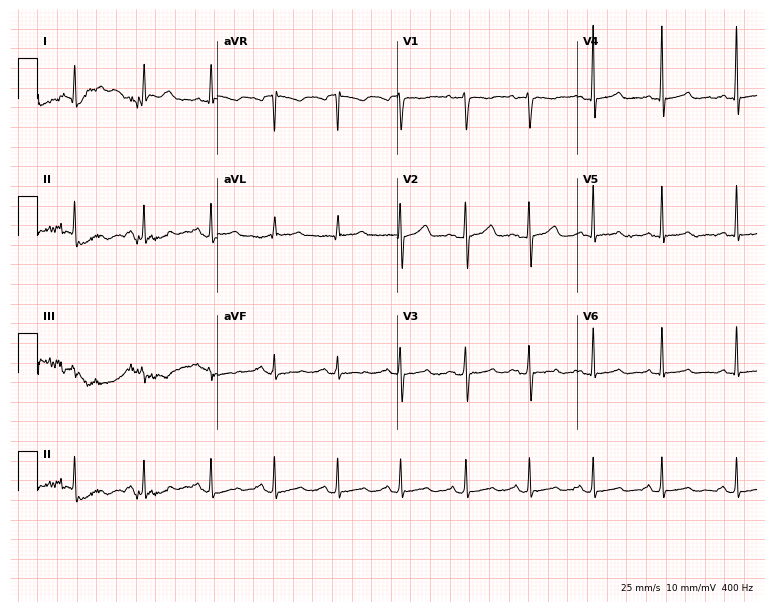
Electrocardiogram (7.3-second recording at 400 Hz), a 43-year-old female patient. Of the six screened findings (first-degree AV block, right bundle branch block (RBBB), left bundle branch block (LBBB), sinus bradycardia, atrial fibrillation (AF), sinus tachycardia), none is recorded.